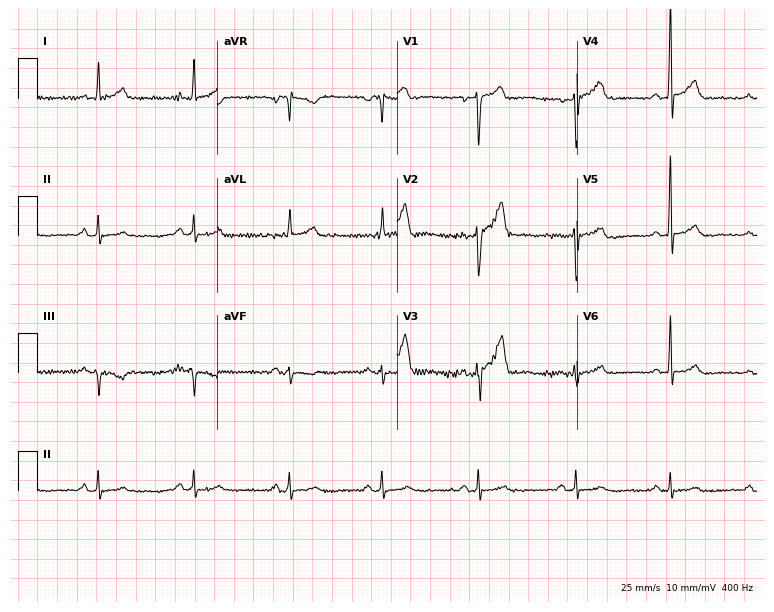
12-lead ECG from a male, 57 years old. Screened for six findings — first-degree AV block, right bundle branch block, left bundle branch block, sinus bradycardia, atrial fibrillation, sinus tachycardia — none is recorded.